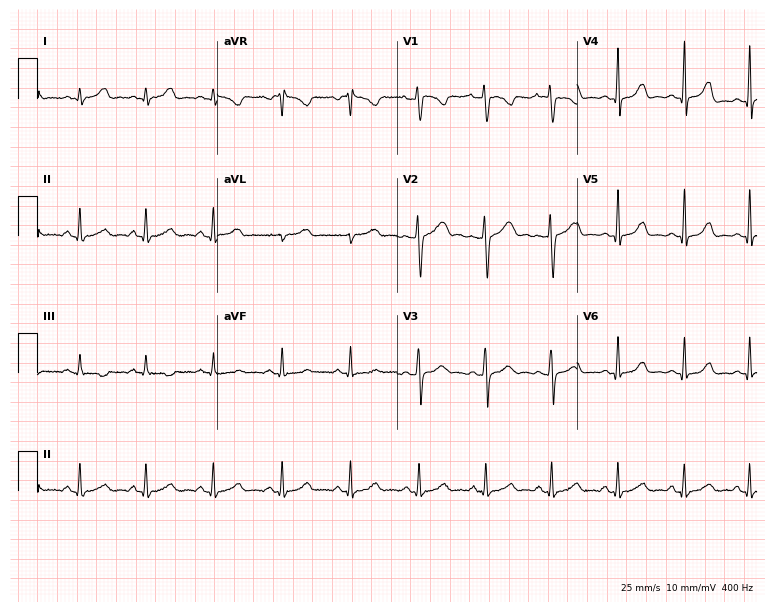
12-lead ECG (7.3-second recording at 400 Hz) from a female, 18 years old. Labelled as a normal ECG.